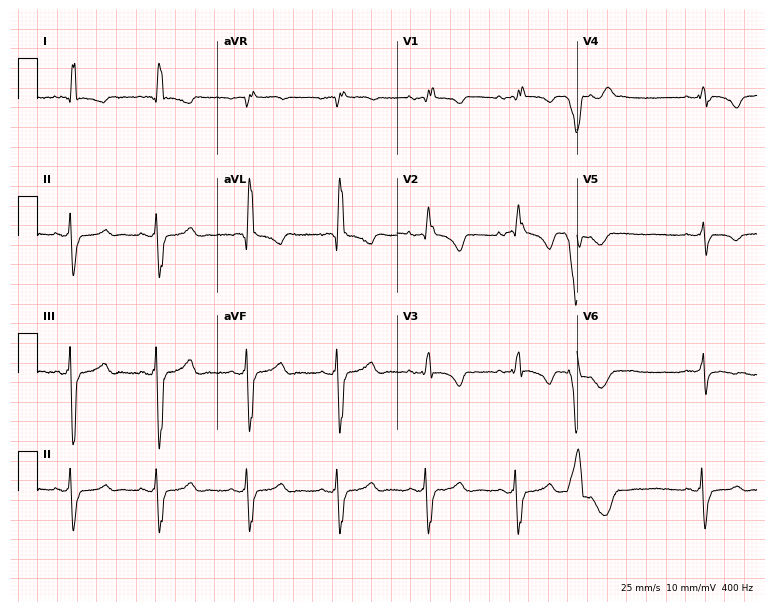
Standard 12-lead ECG recorded from a female patient, 38 years old. The tracing shows right bundle branch block.